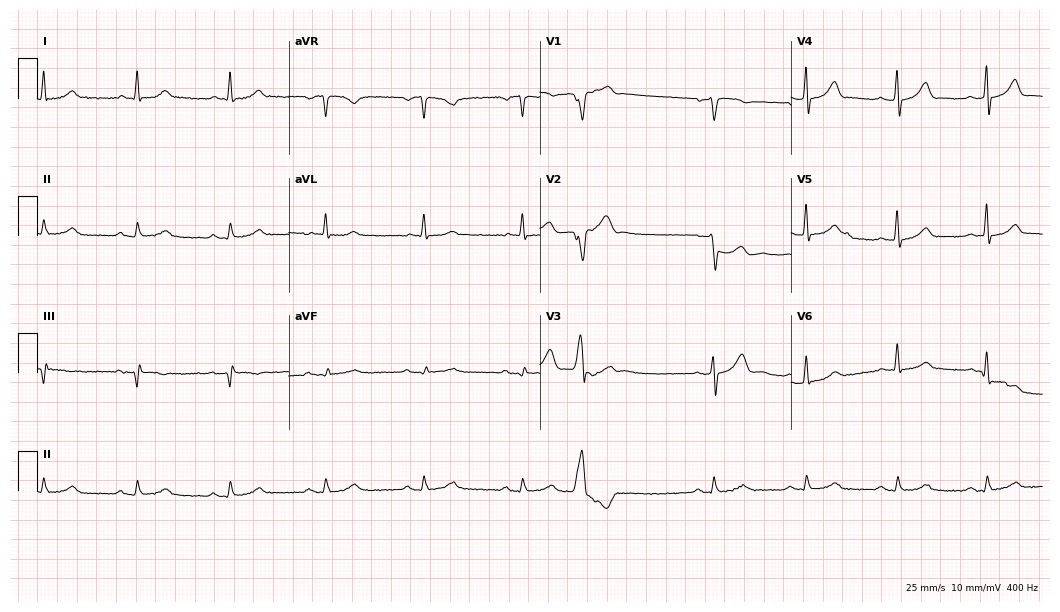
Standard 12-lead ECG recorded from a 65-year-old man. None of these six findings is recorded: first-degree AV block, right bundle branch block (RBBB), left bundle branch block (LBBB), sinus bradycardia, atrial fibrillation (AF), sinus tachycardia. Only these six findings were labelled.